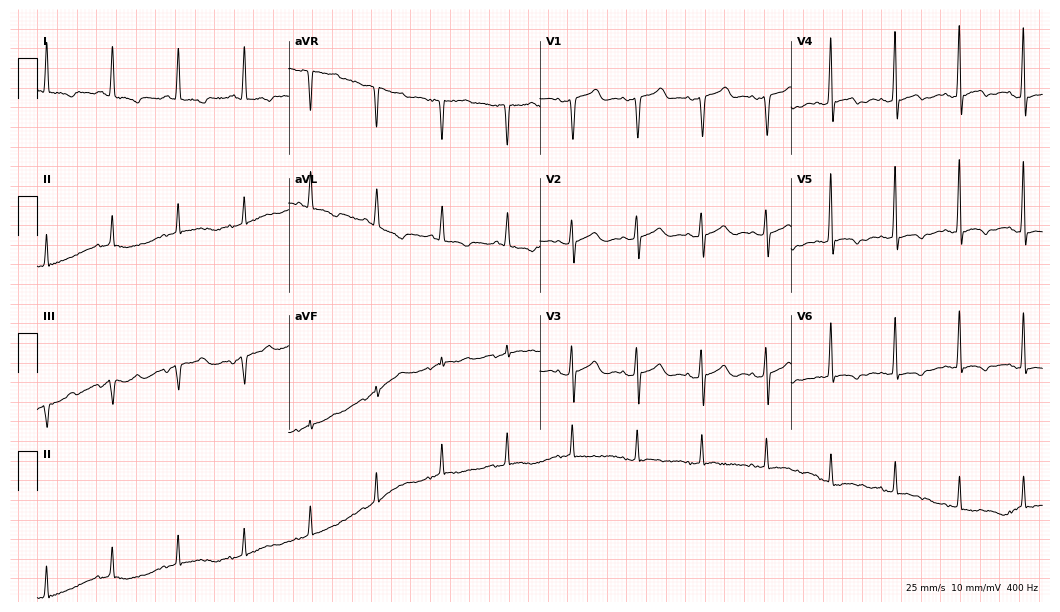
12-lead ECG (10.2-second recording at 400 Hz) from a 62-year-old female. Screened for six findings — first-degree AV block, right bundle branch block, left bundle branch block, sinus bradycardia, atrial fibrillation, sinus tachycardia — none is recorded.